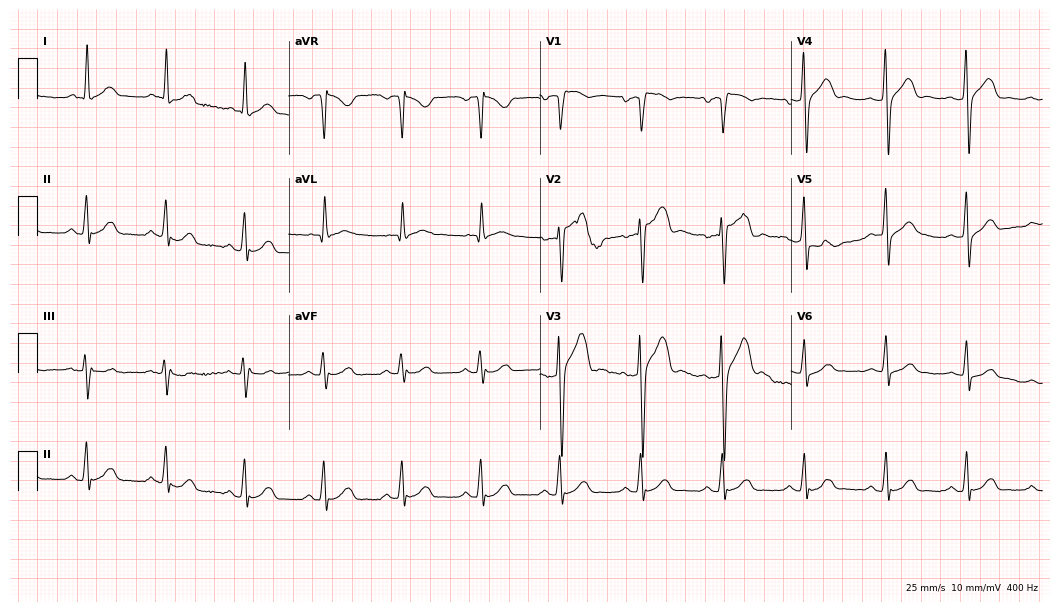
ECG — a male patient, 49 years old. Screened for six findings — first-degree AV block, right bundle branch block, left bundle branch block, sinus bradycardia, atrial fibrillation, sinus tachycardia — none is recorded.